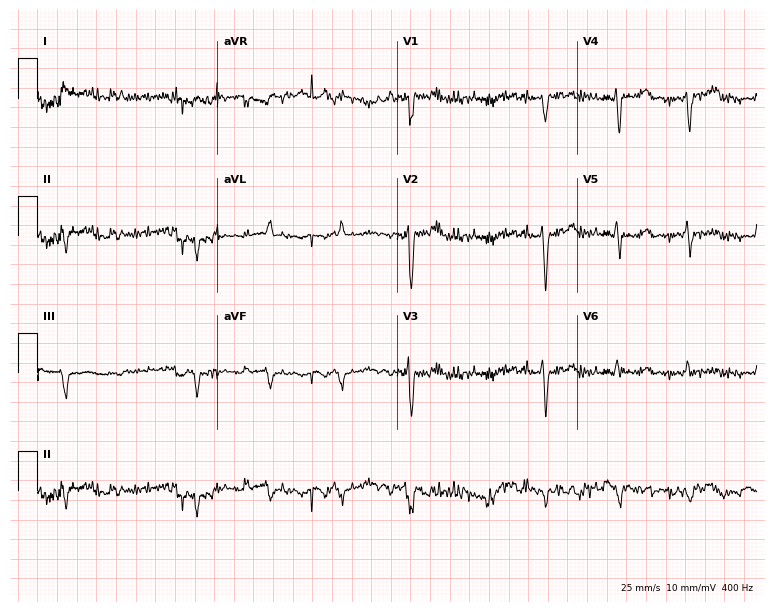
12-lead ECG from an 85-year-old male patient. Screened for six findings — first-degree AV block, right bundle branch block (RBBB), left bundle branch block (LBBB), sinus bradycardia, atrial fibrillation (AF), sinus tachycardia — none is recorded. Findings outside these six are not listed.